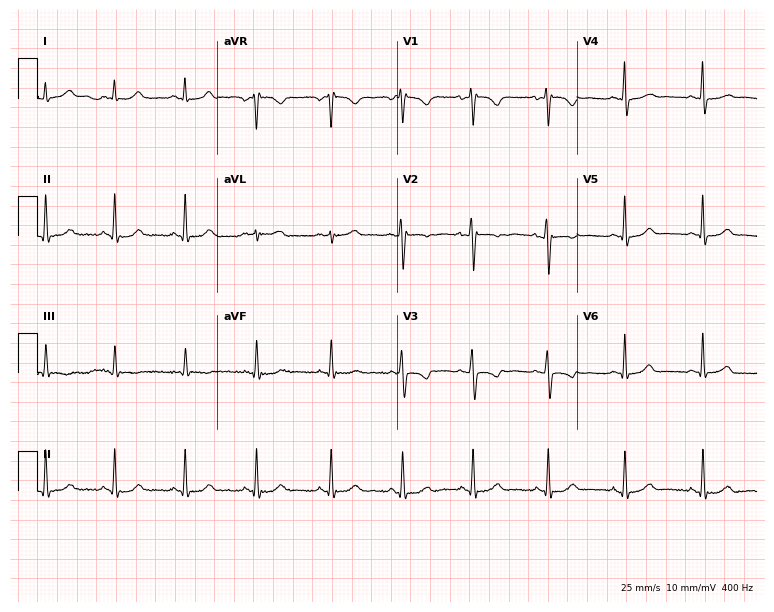
12-lead ECG from a woman, 29 years old. Recorded interpretation: within normal limits.